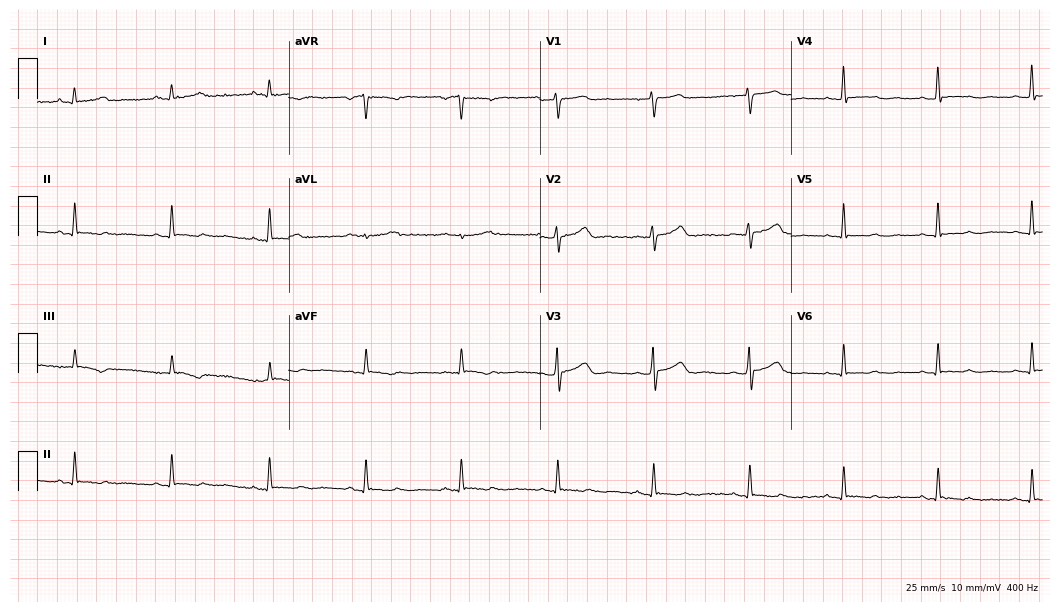
12-lead ECG from a female patient, 45 years old. No first-degree AV block, right bundle branch block (RBBB), left bundle branch block (LBBB), sinus bradycardia, atrial fibrillation (AF) or sinus tachycardia recorded for this tracing.